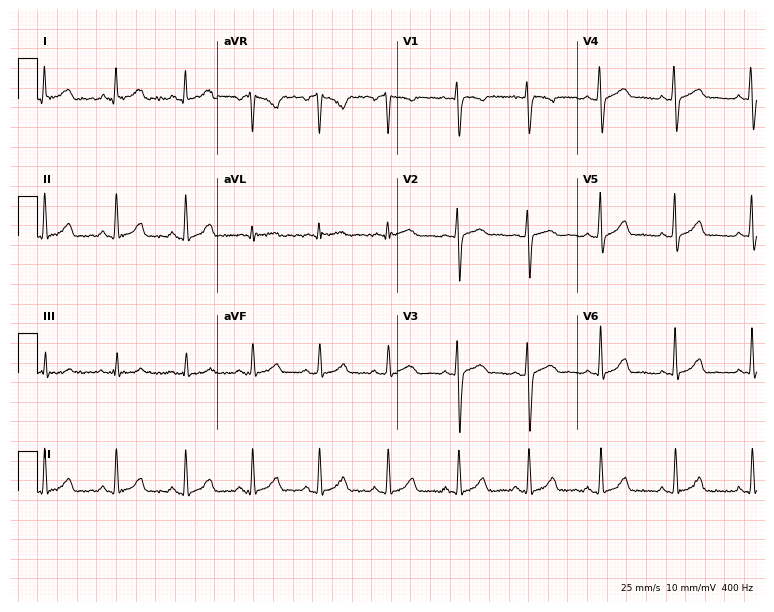
12-lead ECG from a 24-year-old female patient. No first-degree AV block, right bundle branch block (RBBB), left bundle branch block (LBBB), sinus bradycardia, atrial fibrillation (AF) or sinus tachycardia recorded for this tracing. Other findings, if any, are not listed.